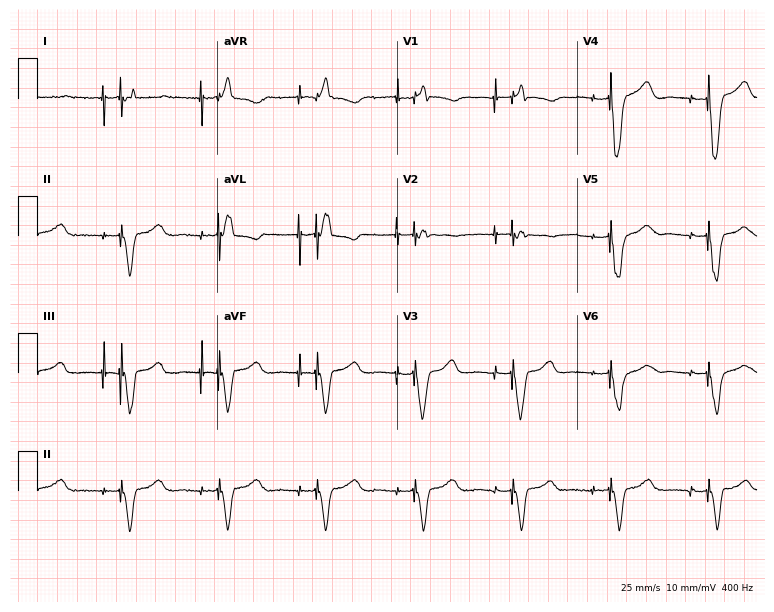
Resting 12-lead electrocardiogram (7.3-second recording at 400 Hz). Patient: a female, 85 years old. None of these six findings is recorded: first-degree AV block, right bundle branch block, left bundle branch block, sinus bradycardia, atrial fibrillation, sinus tachycardia. Findings outside these six are not listed.